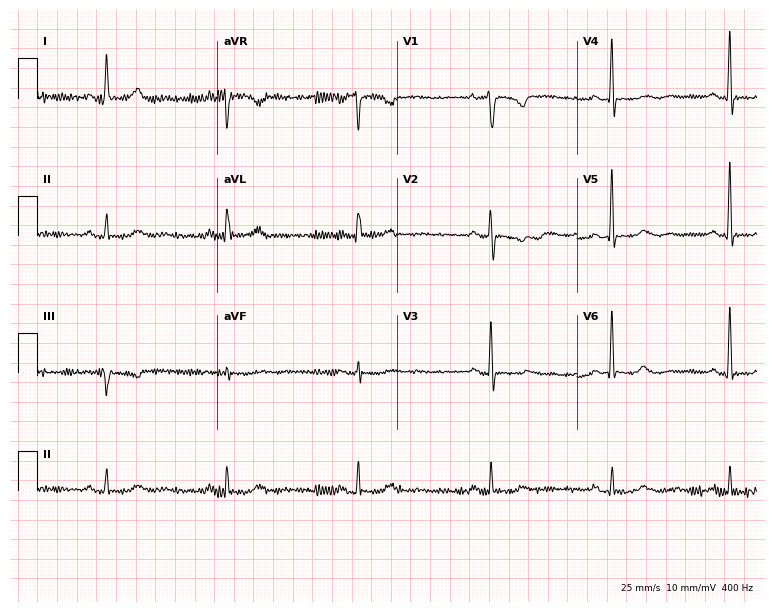
12-lead ECG from a 58-year-old female patient (7.3-second recording at 400 Hz). Shows sinus bradycardia (a sinus rate of 50 beats per minute or less).